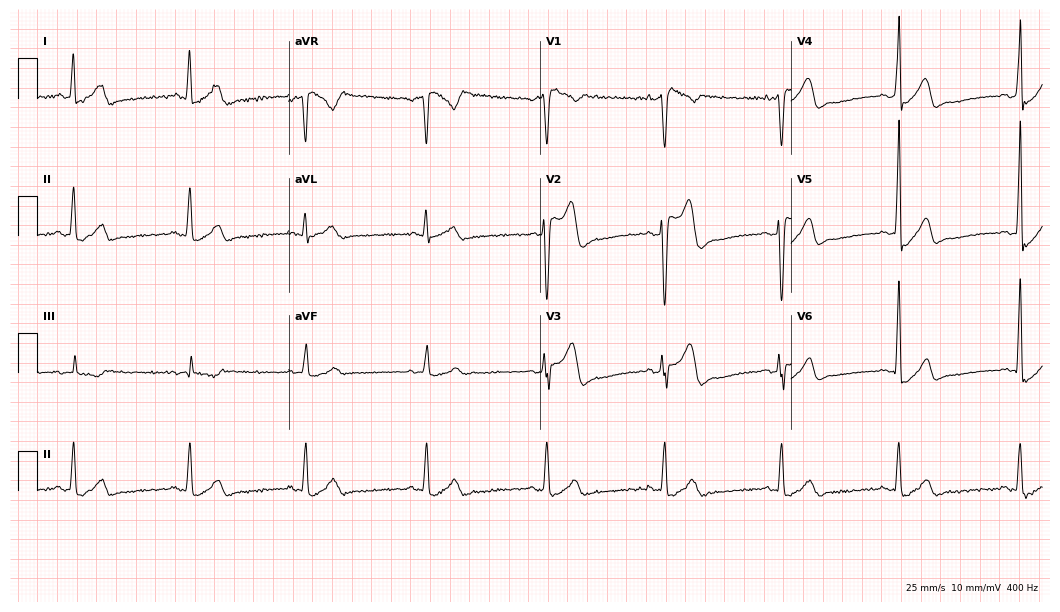
Standard 12-lead ECG recorded from a male, 38 years old. None of these six findings is recorded: first-degree AV block, right bundle branch block (RBBB), left bundle branch block (LBBB), sinus bradycardia, atrial fibrillation (AF), sinus tachycardia. Only these six findings were labelled.